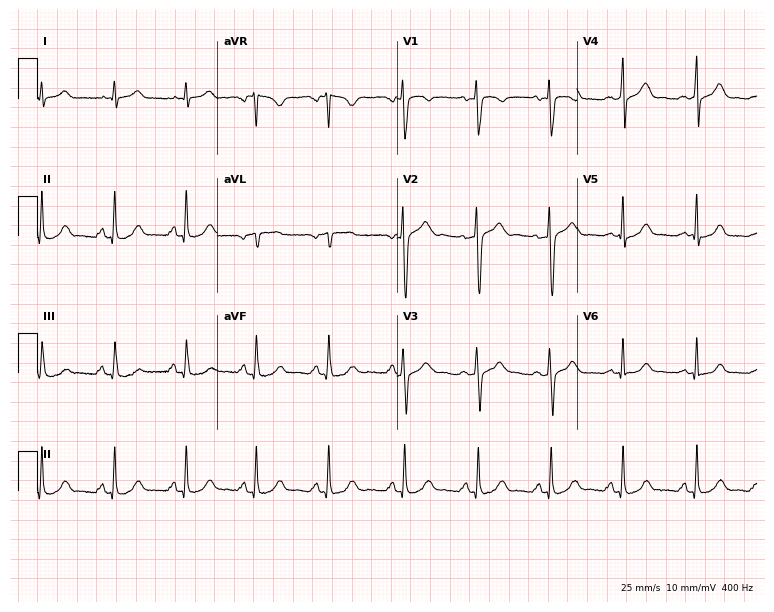
12-lead ECG (7.3-second recording at 400 Hz) from a 29-year-old female patient. Labelled as a normal ECG.